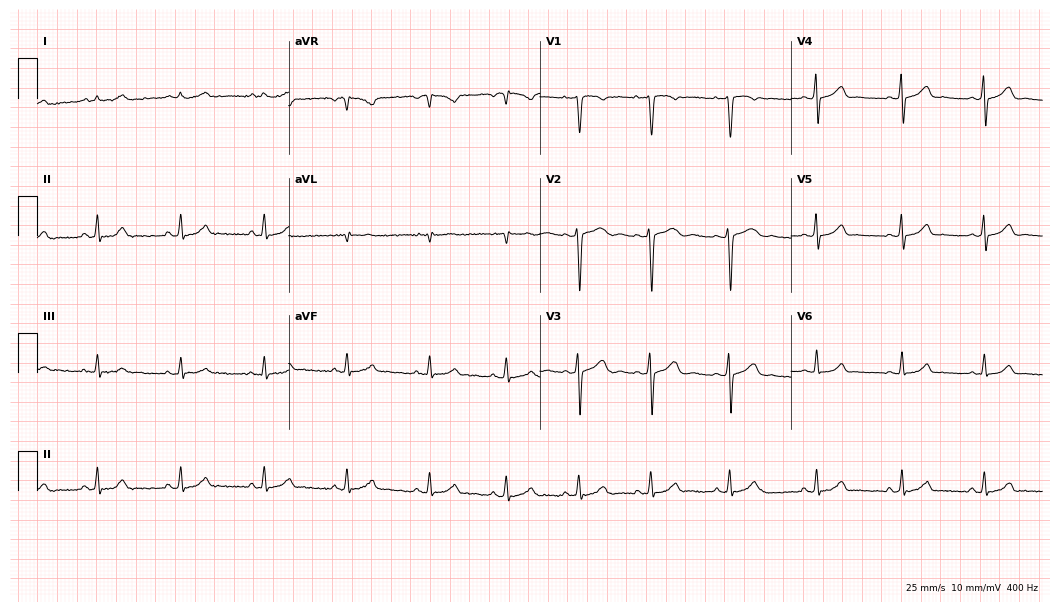
Electrocardiogram (10.2-second recording at 400 Hz), a woman, 24 years old. Of the six screened findings (first-degree AV block, right bundle branch block (RBBB), left bundle branch block (LBBB), sinus bradycardia, atrial fibrillation (AF), sinus tachycardia), none is recorded. Findings outside these six are not listed.